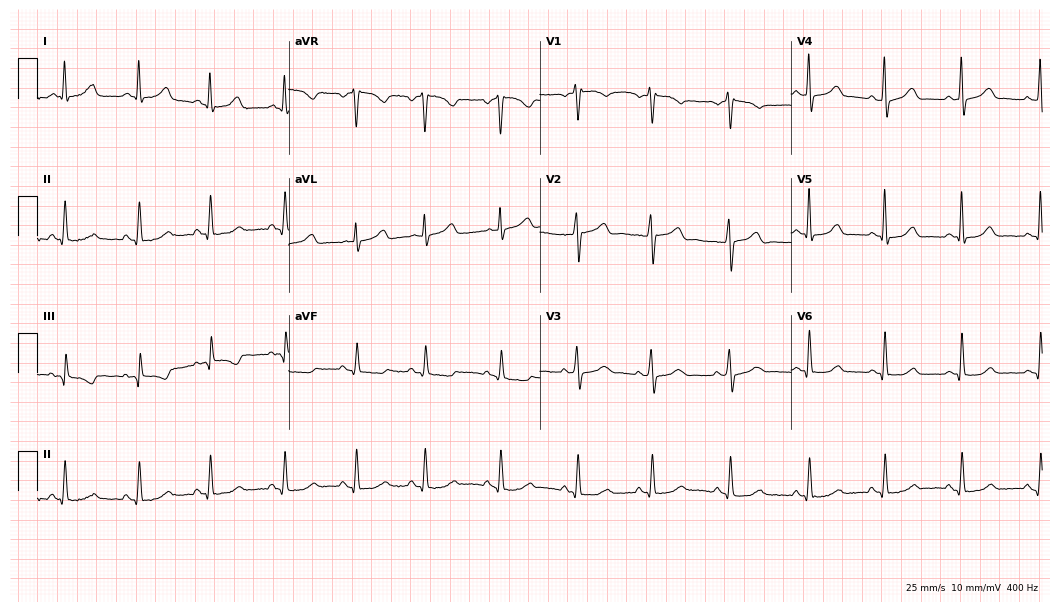
ECG — a female, 36 years old. Labelled as a normal ECG.